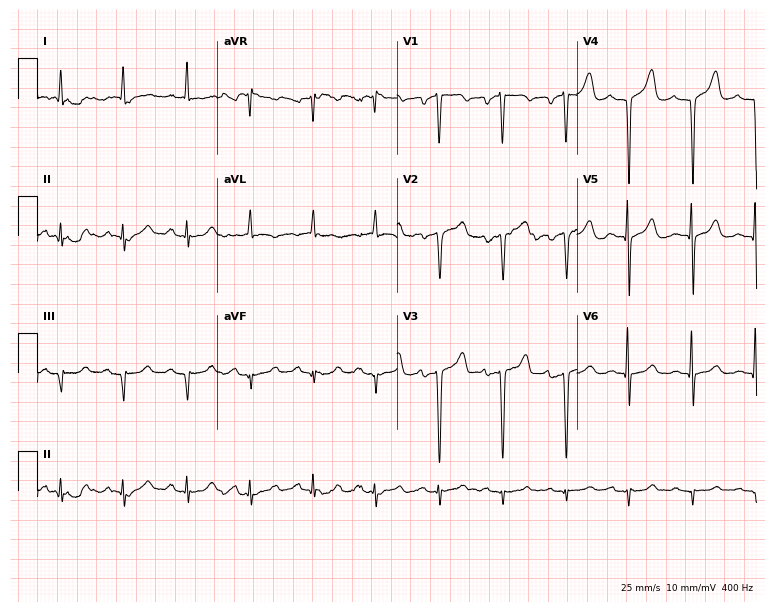
Resting 12-lead electrocardiogram (7.3-second recording at 400 Hz). Patient: a woman, 69 years old. None of these six findings is recorded: first-degree AV block, right bundle branch block, left bundle branch block, sinus bradycardia, atrial fibrillation, sinus tachycardia. Only these six findings were labelled.